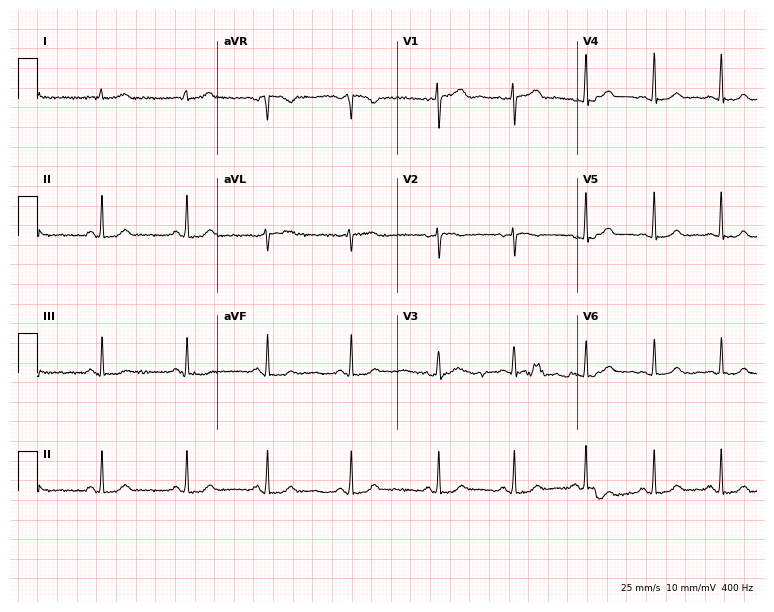
ECG — a female patient, 26 years old. Labelled as a normal ECG.